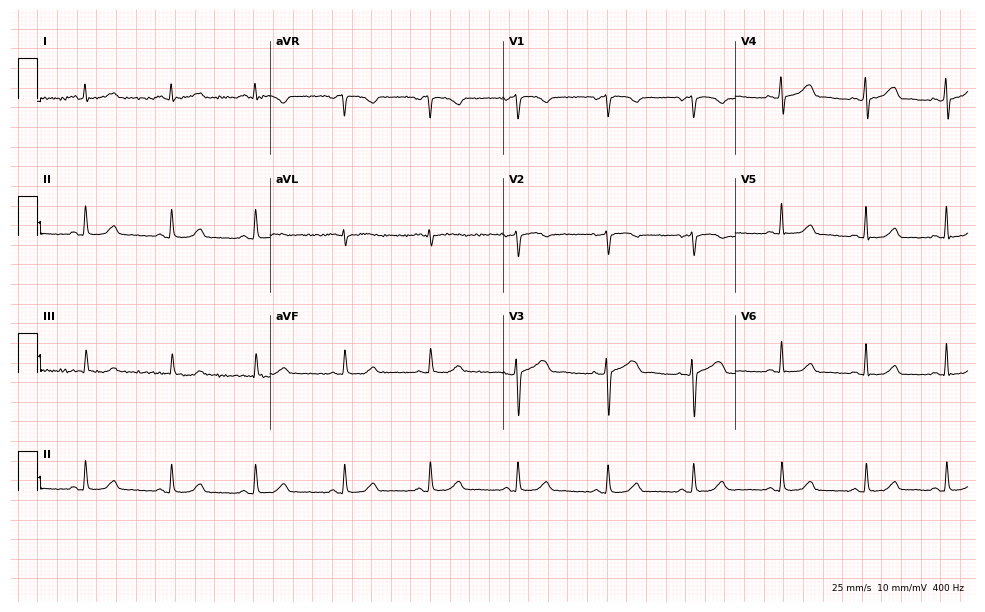
12-lead ECG from a 43-year-old female patient. Recorded interpretation: within normal limits.